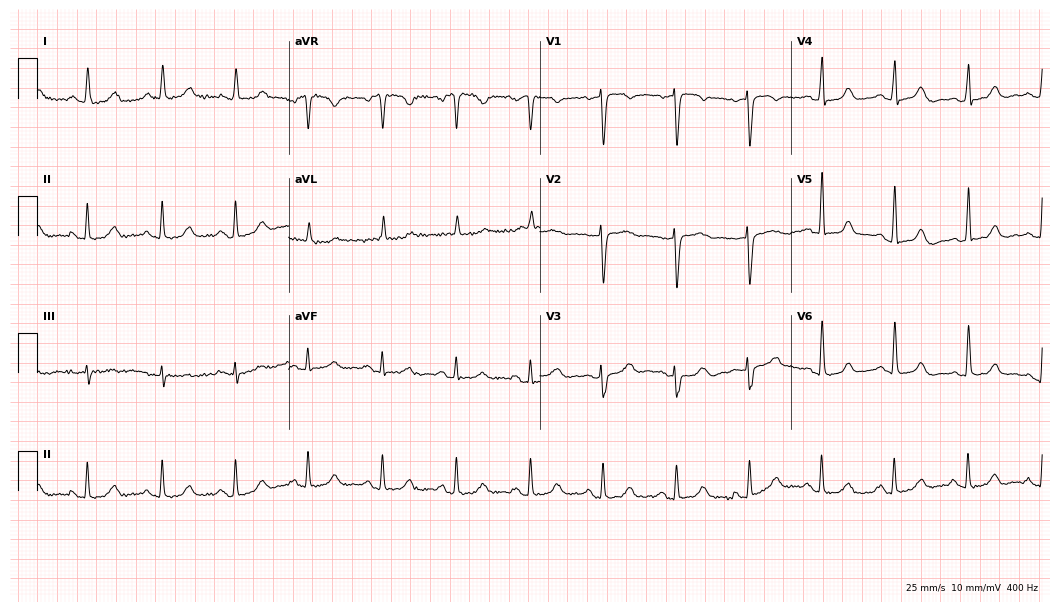
Resting 12-lead electrocardiogram. Patient: a 71-year-old female. Read as a normal ECG.